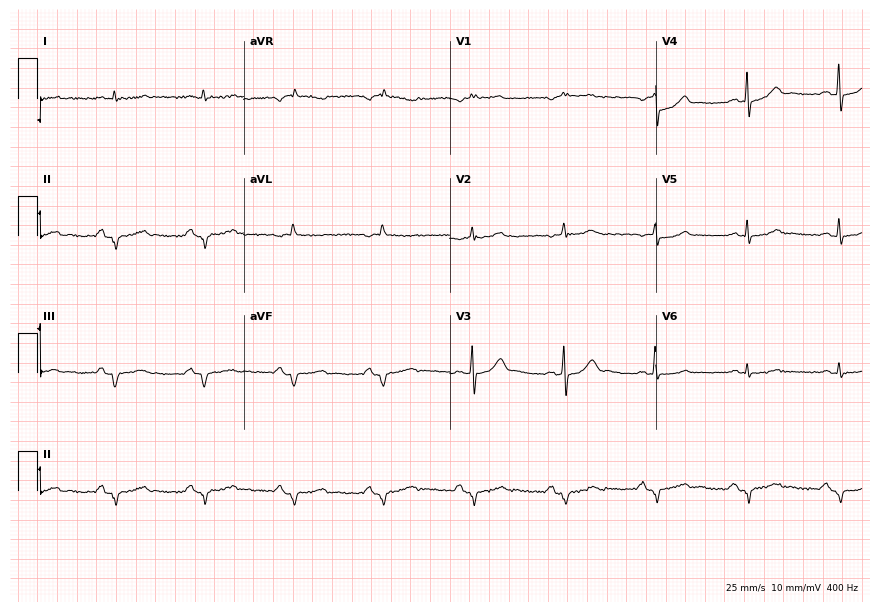
ECG (8.4-second recording at 400 Hz) — a 69-year-old male patient. Screened for six findings — first-degree AV block, right bundle branch block (RBBB), left bundle branch block (LBBB), sinus bradycardia, atrial fibrillation (AF), sinus tachycardia — none is recorded.